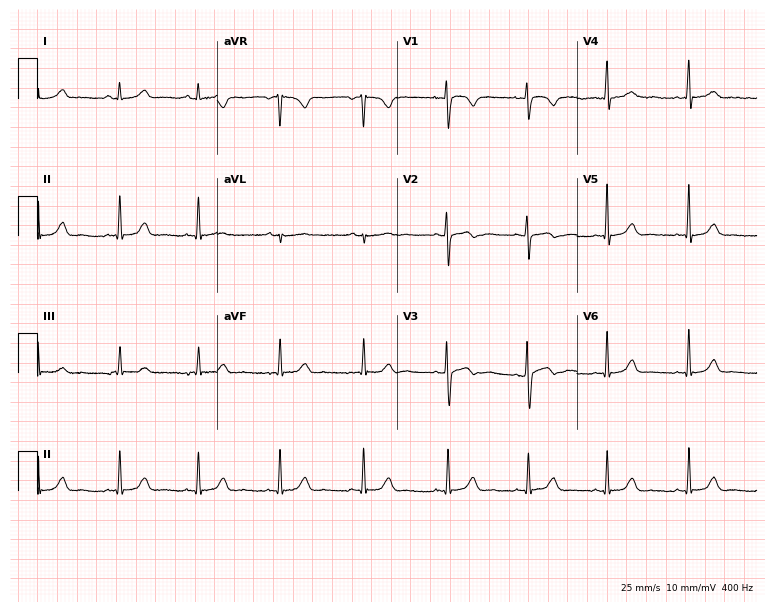
Resting 12-lead electrocardiogram (7.3-second recording at 400 Hz). Patient: a 29-year-old woman. Read as a normal ECG.